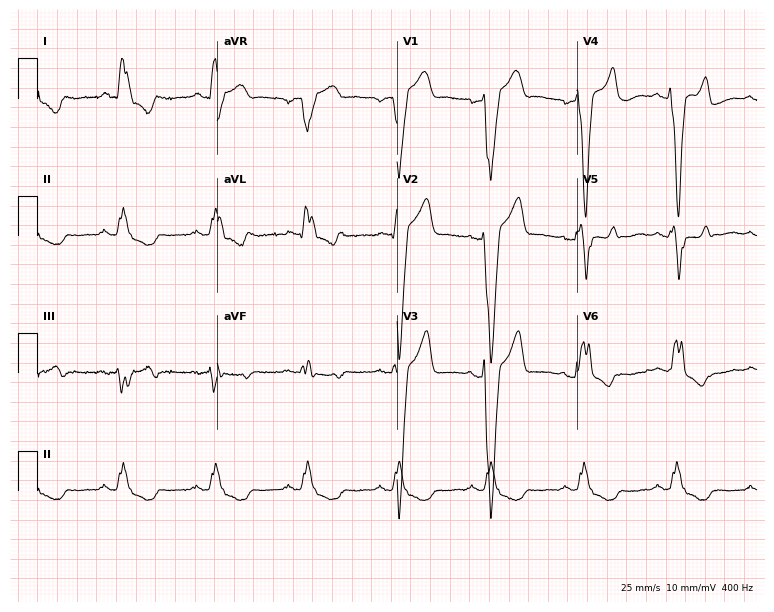
Resting 12-lead electrocardiogram (7.3-second recording at 400 Hz). Patient: a male, 58 years old. The tracing shows left bundle branch block (LBBB).